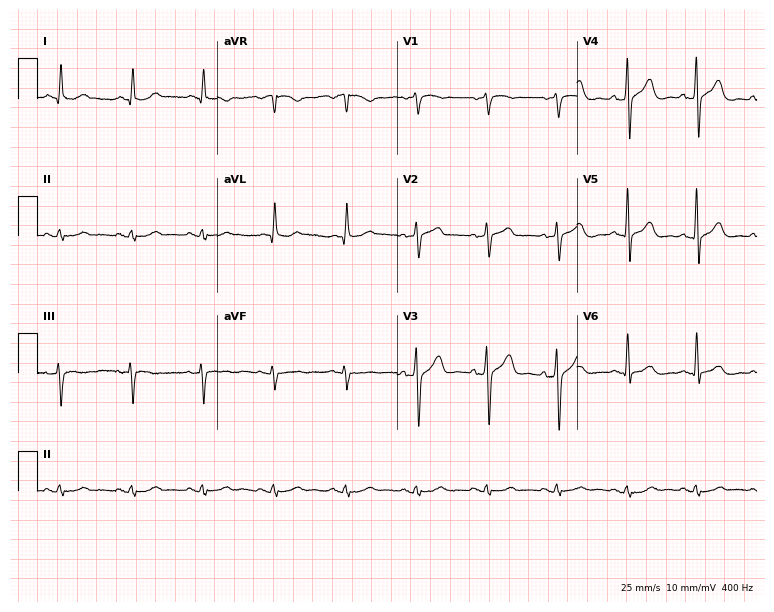
ECG (7.3-second recording at 400 Hz) — a man, 63 years old. Labelled as a normal ECG.